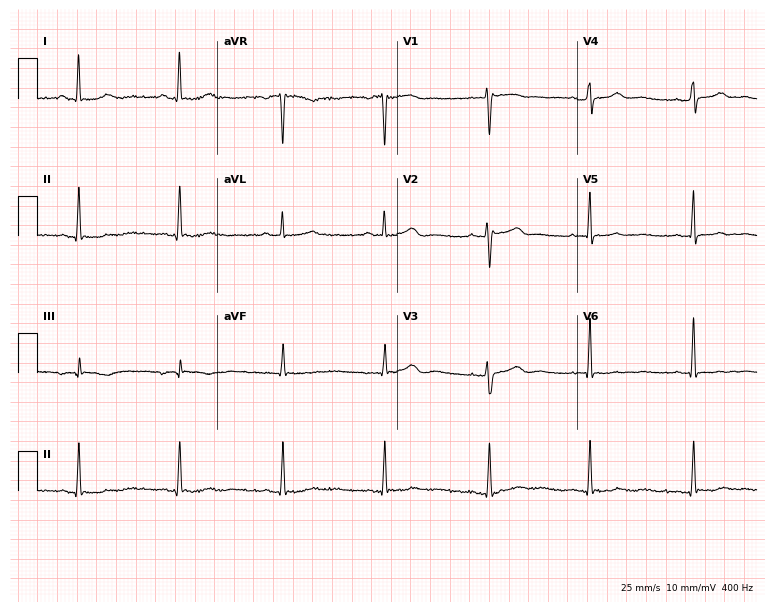
Electrocardiogram (7.3-second recording at 400 Hz), a woman, 53 years old. Overall reading on record: normal ECG.